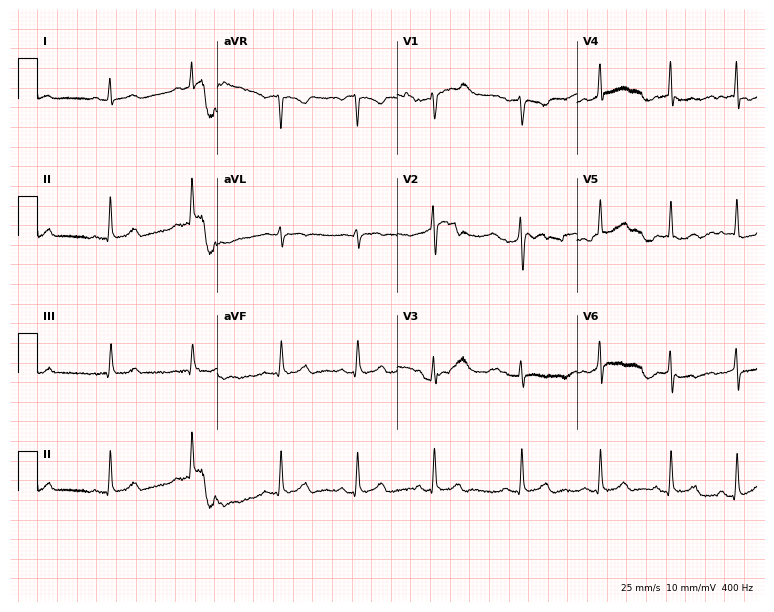
Standard 12-lead ECG recorded from an 18-year-old woman. Read as a normal ECG.